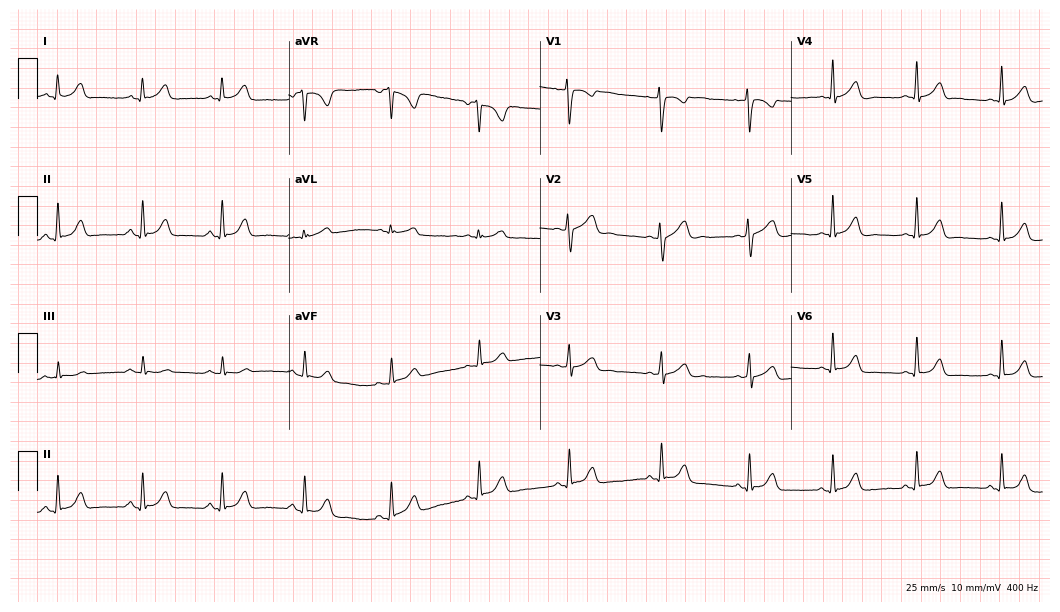
Electrocardiogram (10.2-second recording at 400 Hz), a woman, 28 years old. Overall reading on record: normal ECG.